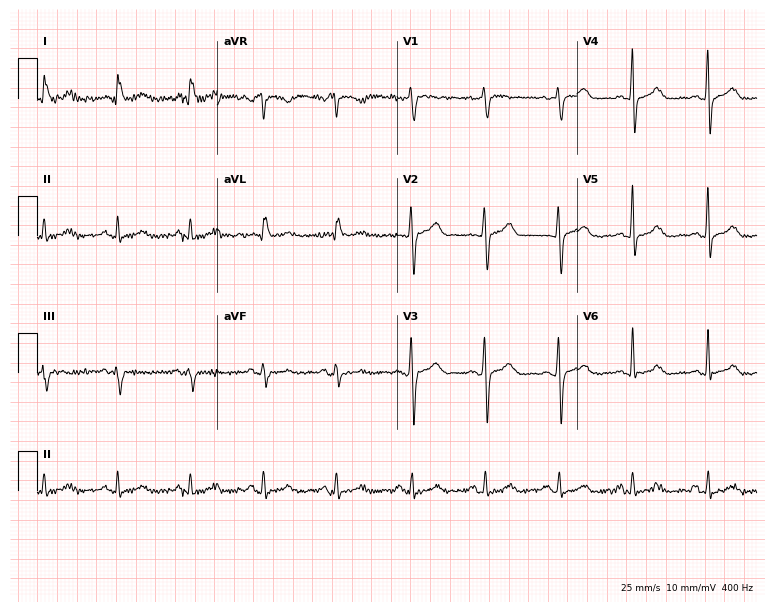
Resting 12-lead electrocardiogram (7.3-second recording at 400 Hz). Patient: a 57-year-old female. Read as a normal ECG.